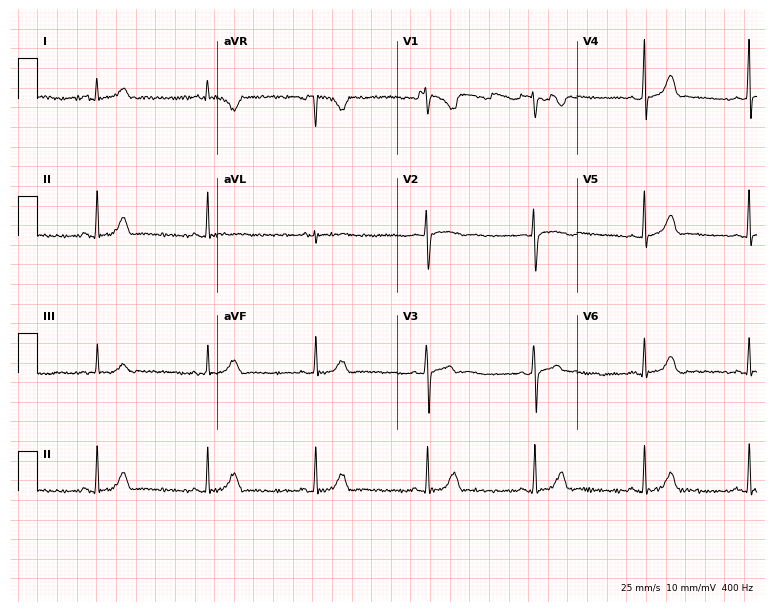
Resting 12-lead electrocardiogram (7.3-second recording at 400 Hz). Patient: a female, 17 years old. Read as a normal ECG.